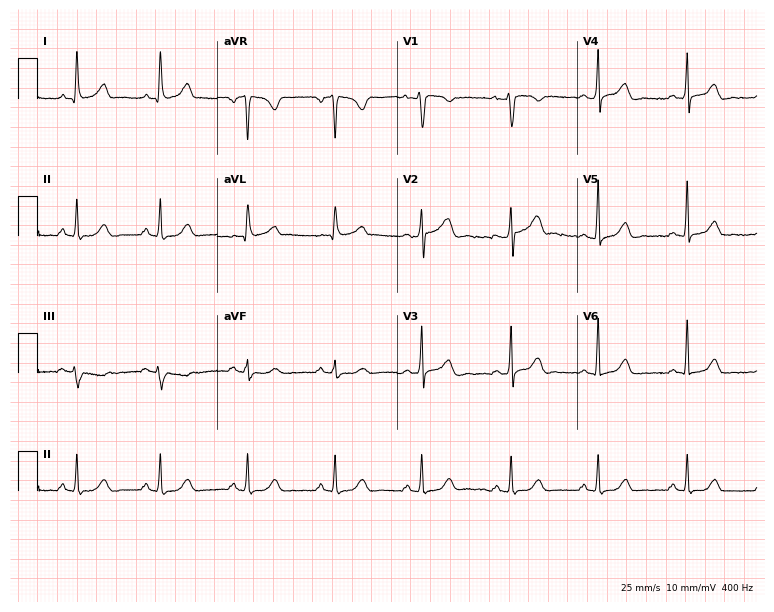
Electrocardiogram, a woman, 51 years old. Overall reading on record: normal ECG.